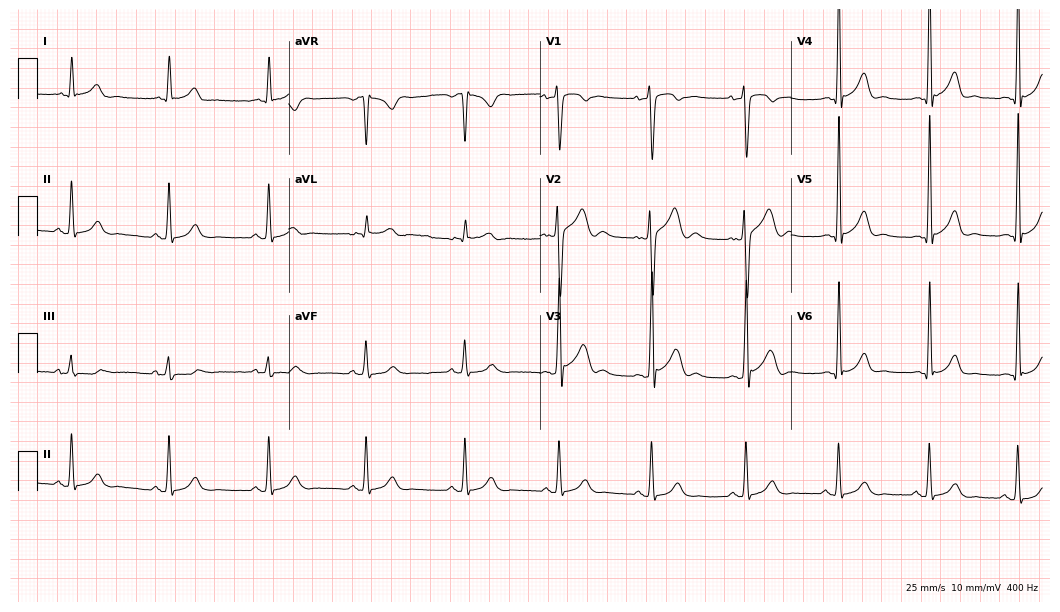
12-lead ECG from a female, 32 years old. Labelled as a normal ECG.